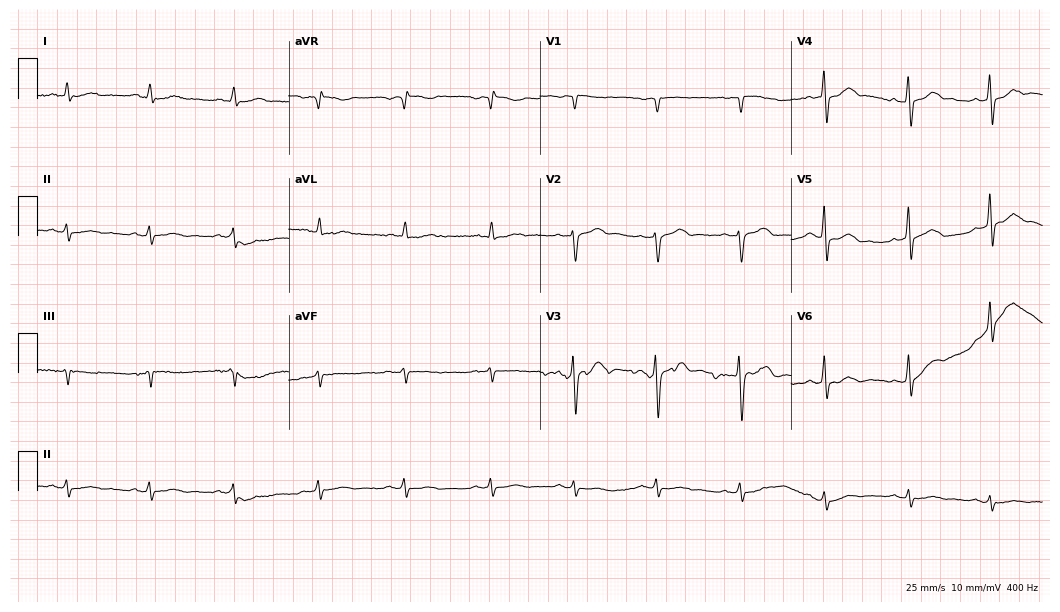
12-lead ECG from a 55-year-old male patient. Labelled as a normal ECG.